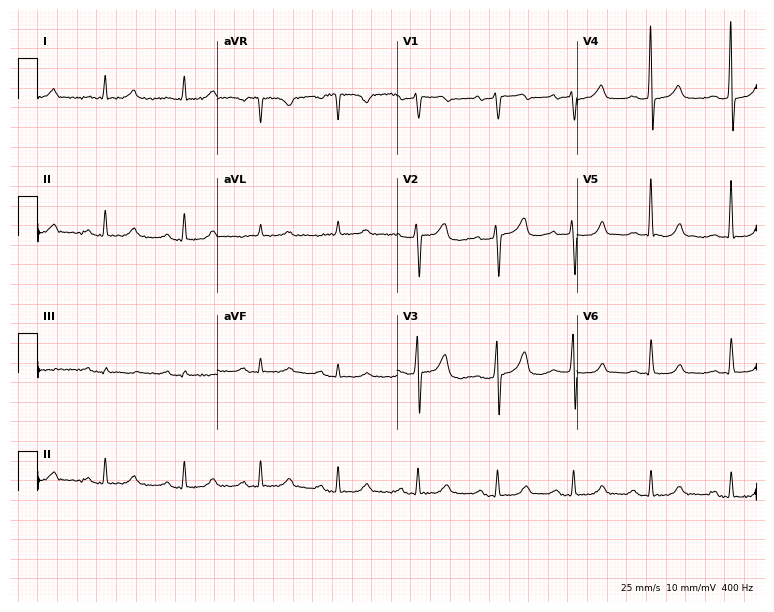
12-lead ECG (7.3-second recording at 400 Hz) from a female, 76 years old. Findings include first-degree AV block.